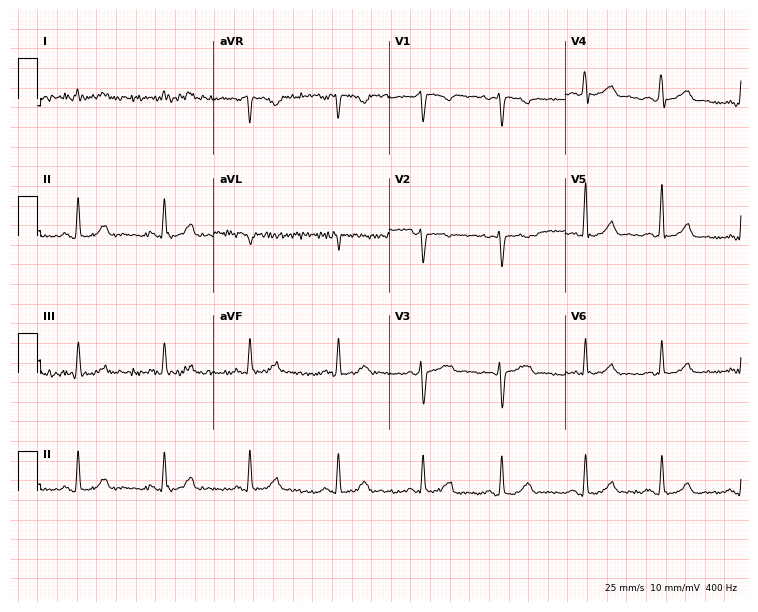
ECG — a 32-year-old female patient. Labelled as a normal ECG.